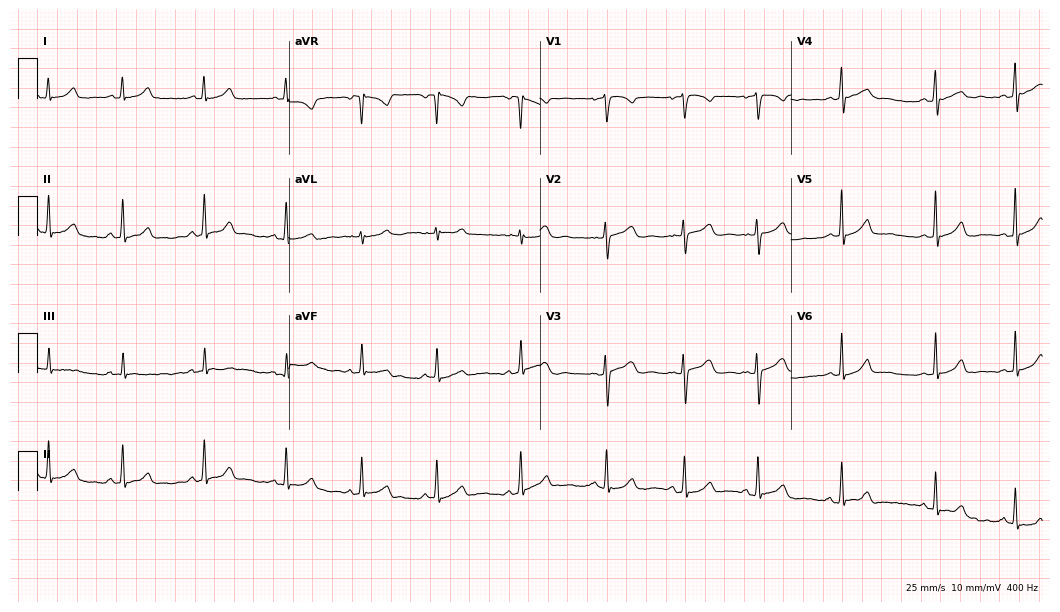
Resting 12-lead electrocardiogram (10.2-second recording at 400 Hz). Patient: a woman, 24 years old. Read as a normal ECG.